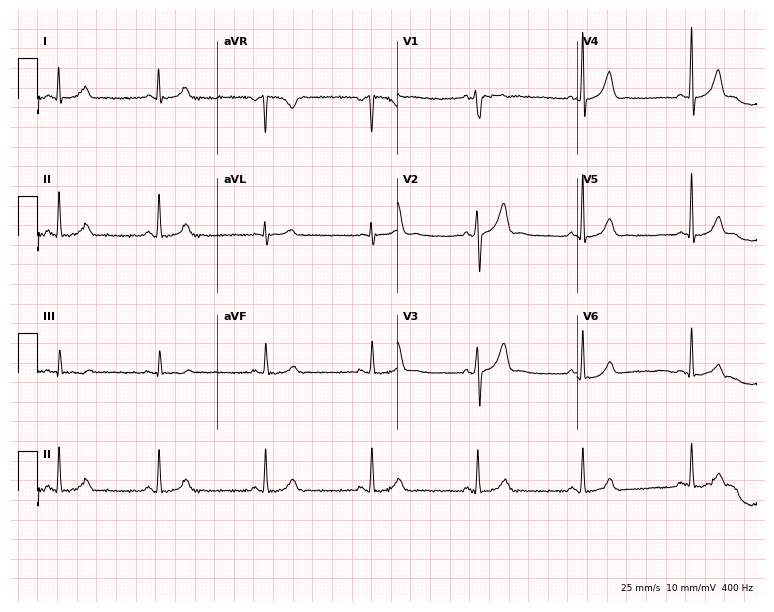
Electrocardiogram (7.3-second recording at 400 Hz), a 33-year-old male patient. Overall reading on record: normal ECG.